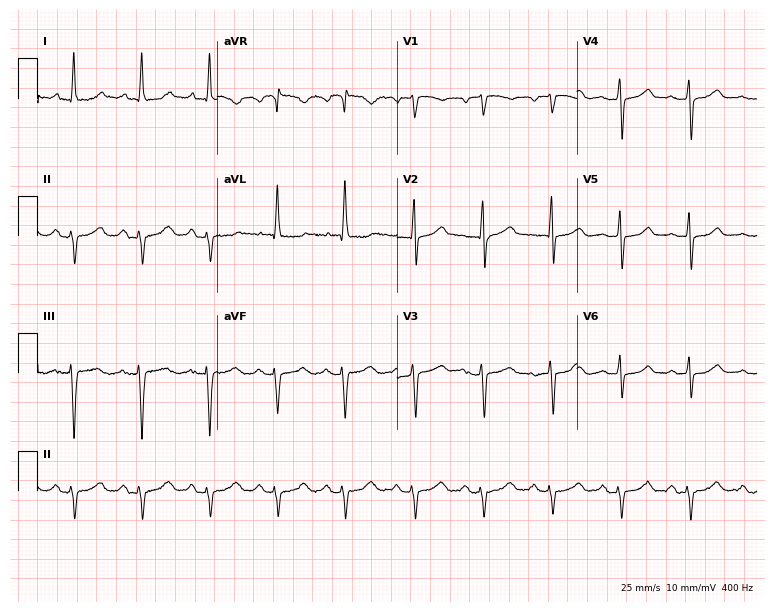
Resting 12-lead electrocardiogram (7.3-second recording at 400 Hz). Patient: a 62-year-old female. None of these six findings is recorded: first-degree AV block, right bundle branch block, left bundle branch block, sinus bradycardia, atrial fibrillation, sinus tachycardia.